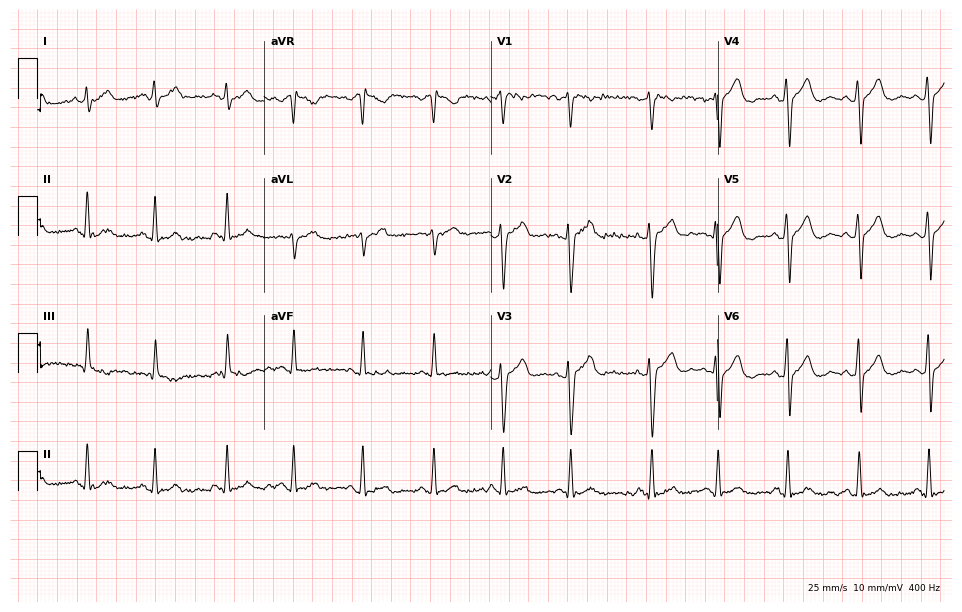
Standard 12-lead ECG recorded from a male, 29 years old. Read as a normal ECG.